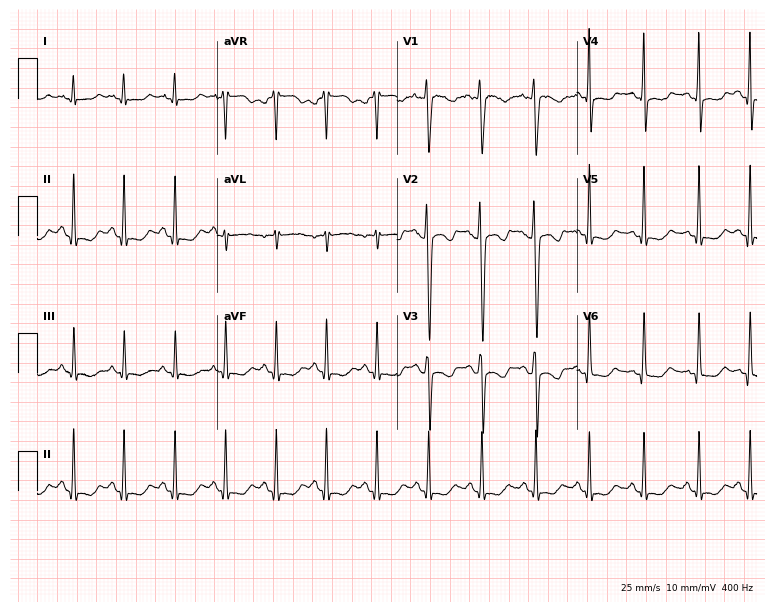
Resting 12-lead electrocardiogram. Patient: a woman, 22 years old. The tracing shows sinus tachycardia (a sinus rate of 100 beats per minute or more).